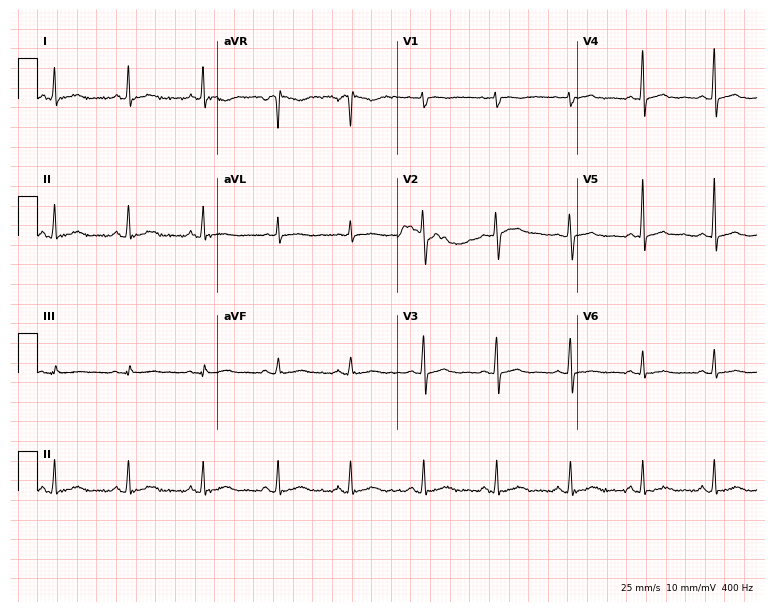
Standard 12-lead ECG recorded from a woman, 43 years old (7.3-second recording at 400 Hz). Read as a normal ECG.